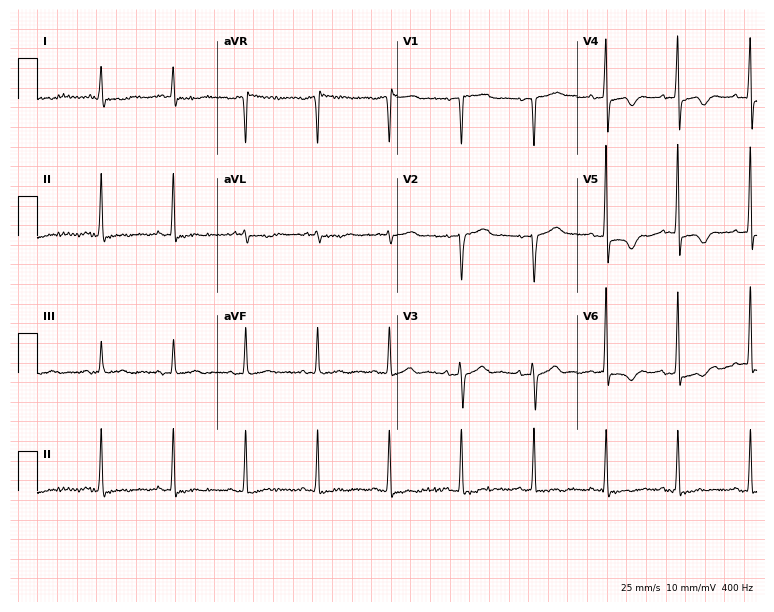
Resting 12-lead electrocardiogram (7.3-second recording at 400 Hz). Patient: an 81-year-old female. None of these six findings is recorded: first-degree AV block, right bundle branch block, left bundle branch block, sinus bradycardia, atrial fibrillation, sinus tachycardia.